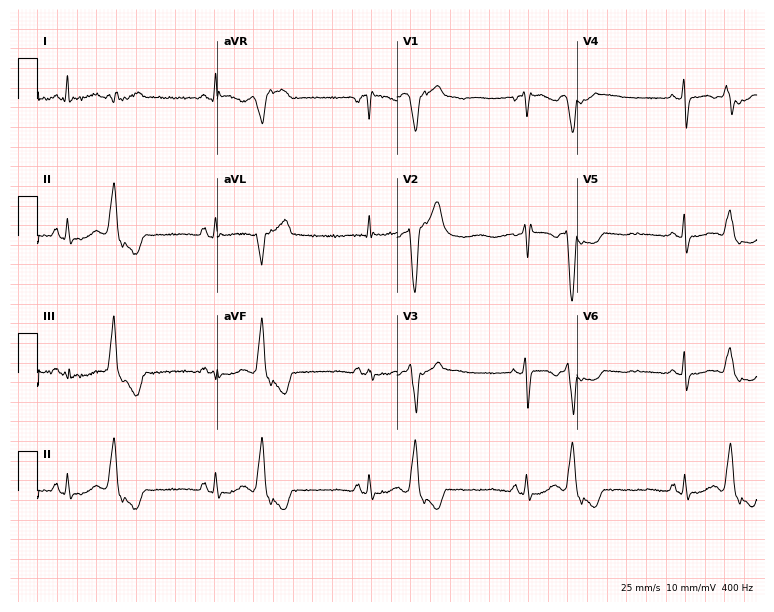
ECG (7.3-second recording at 400 Hz) — a woman, 61 years old. Screened for six findings — first-degree AV block, right bundle branch block (RBBB), left bundle branch block (LBBB), sinus bradycardia, atrial fibrillation (AF), sinus tachycardia — none is recorded.